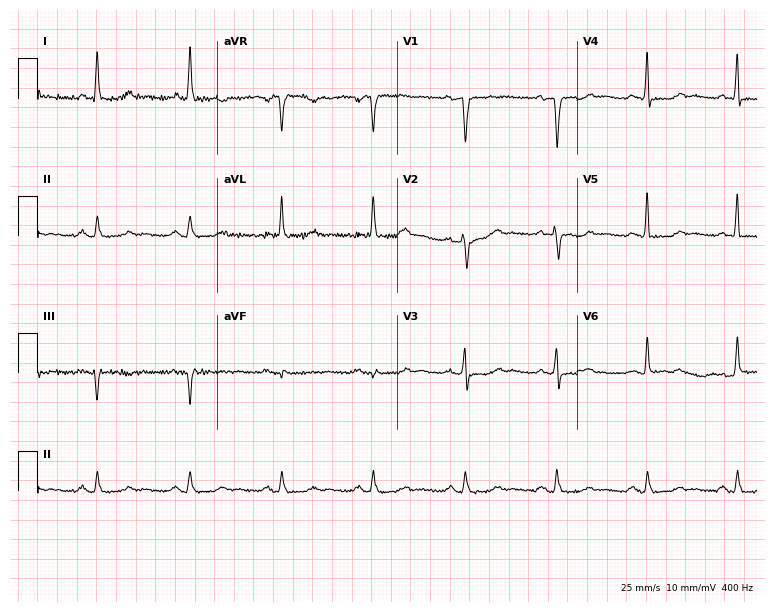
12-lead ECG from a 69-year-old female patient. No first-degree AV block, right bundle branch block (RBBB), left bundle branch block (LBBB), sinus bradycardia, atrial fibrillation (AF) or sinus tachycardia recorded for this tracing.